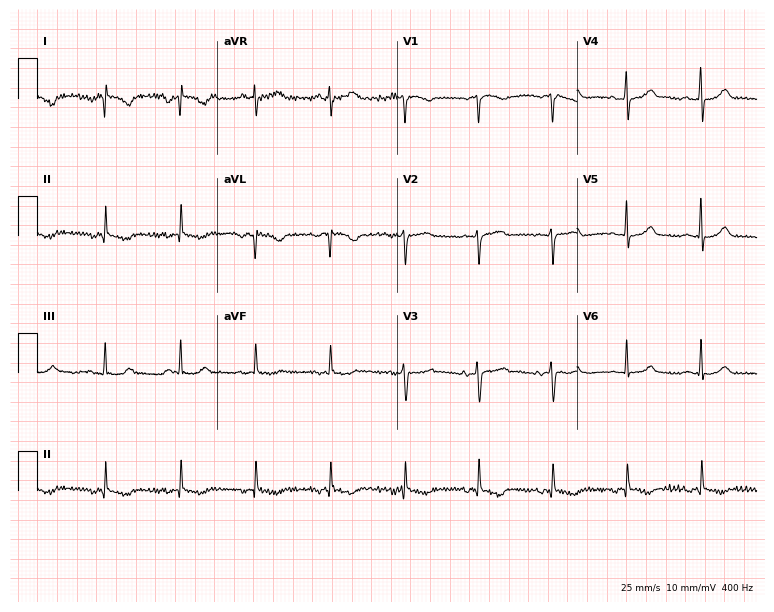
12-lead ECG from a 60-year-old female (7.3-second recording at 400 Hz). No first-degree AV block, right bundle branch block, left bundle branch block, sinus bradycardia, atrial fibrillation or sinus tachycardia recorded for this tracing. Only these six findings were labelled.